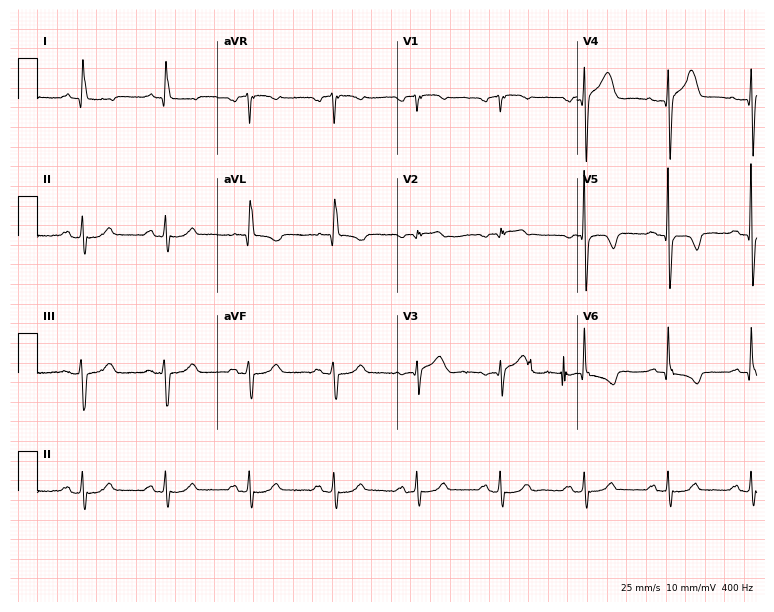
Resting 12-lead electrocardiogram (7.3-second recording at 400 Hz). Patient: a 66-year-old male. None of these six findings is recorded: first-degree AV block, right bundle branch block, left bundle branch block, sinus bradycardia, atrial fibrillation, sinus tachycardia.